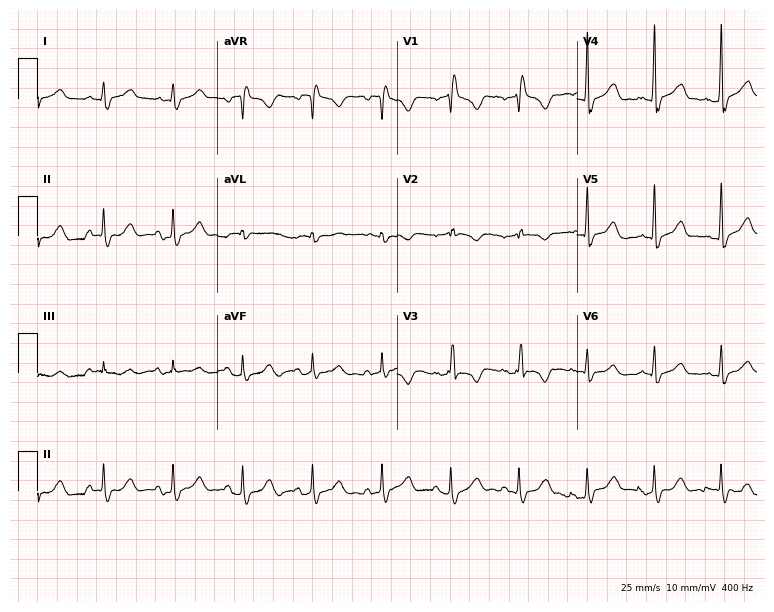
Standard 12-lead ECG recorded from a 57-year-old woman (7.3-second recording at 400 Hz). None of these six findings is recorded: first-degree AV block, right bundle branch block, left bundle branch block, sinus bradycardia, atrial fibrillation, sinus tachycardia.